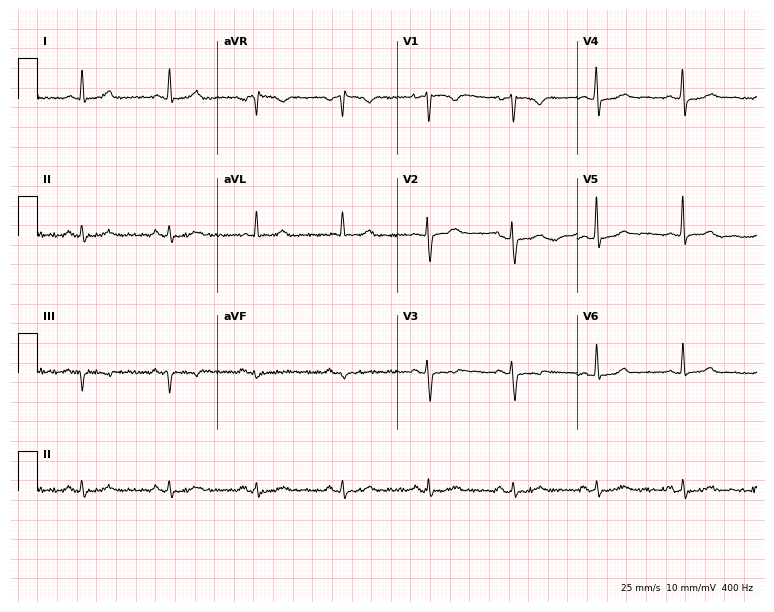
Electrocardiogram (7.3-second recording at 400 Hz), a 51-year-old woman. Overall reading on record: normal ECG.